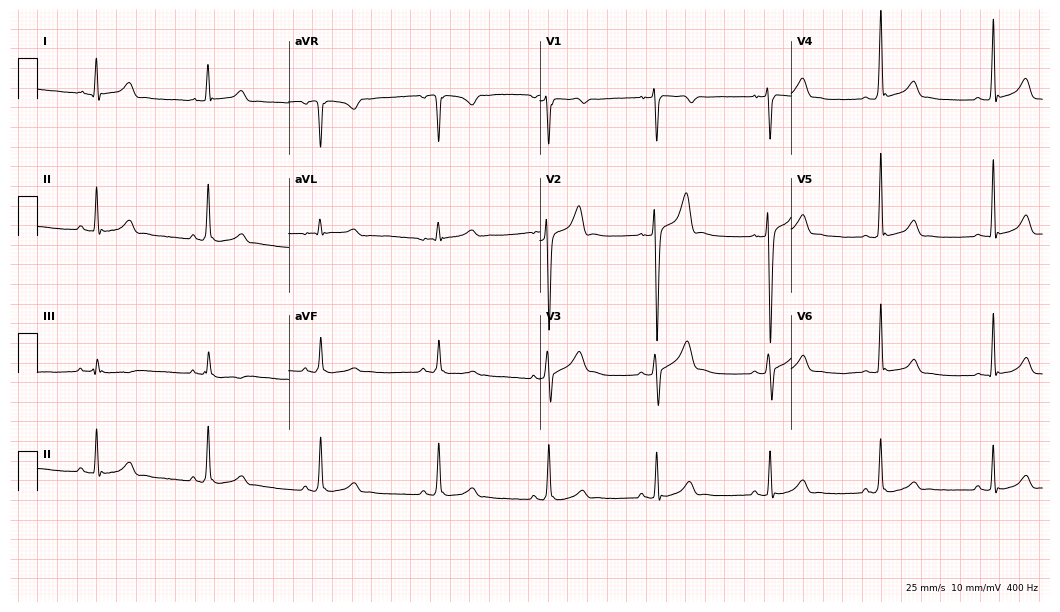
Standard 12-lead ECG recorded from a male, 18 years old. None of these six findings is recorded: first-degree AV block, right bundle branch block, left bundle branch block, sinus bradycardia, atrial fibrillation, sinus tachycardia.